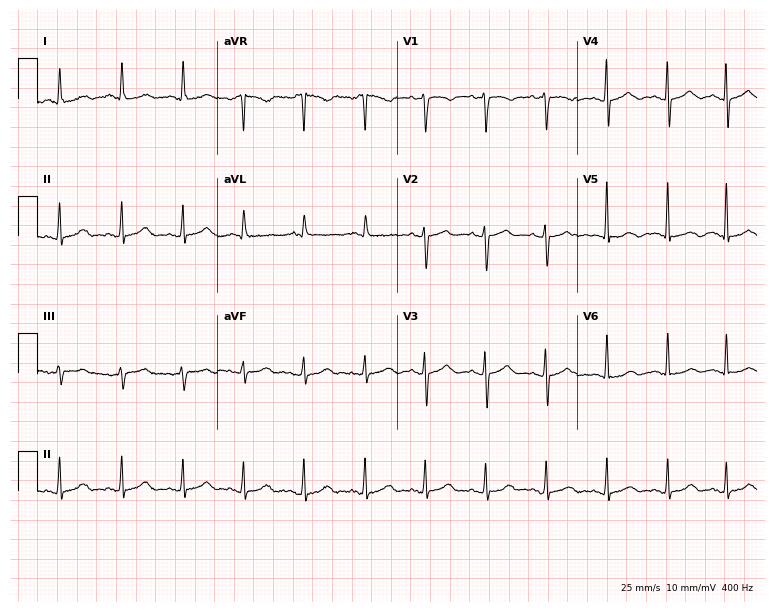
Standard 12-lead ECG recorded from a female patient, 68 years old (7.3-second recording at 400 Hz). Read as a normal ECG.